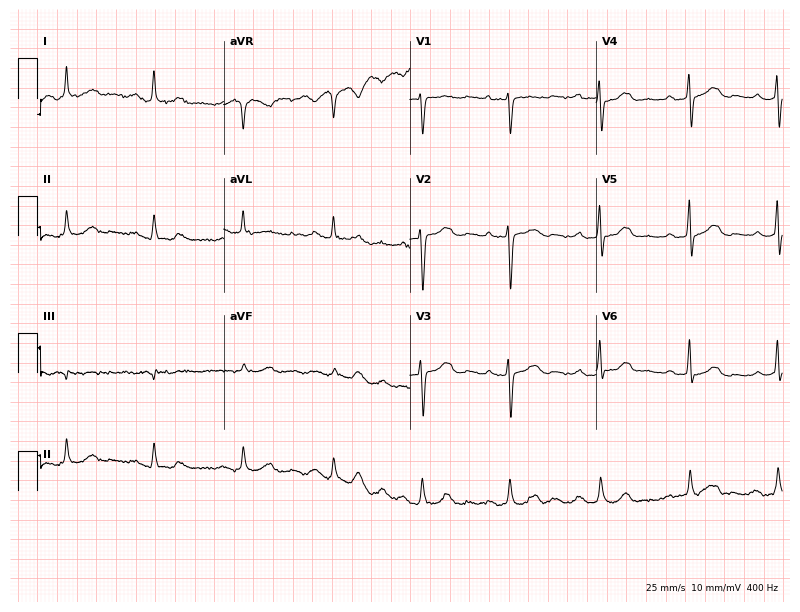
ECG (7.6-second recording at 400 Hz) — a woman, 75 years old. Labelled as a normal ECG.